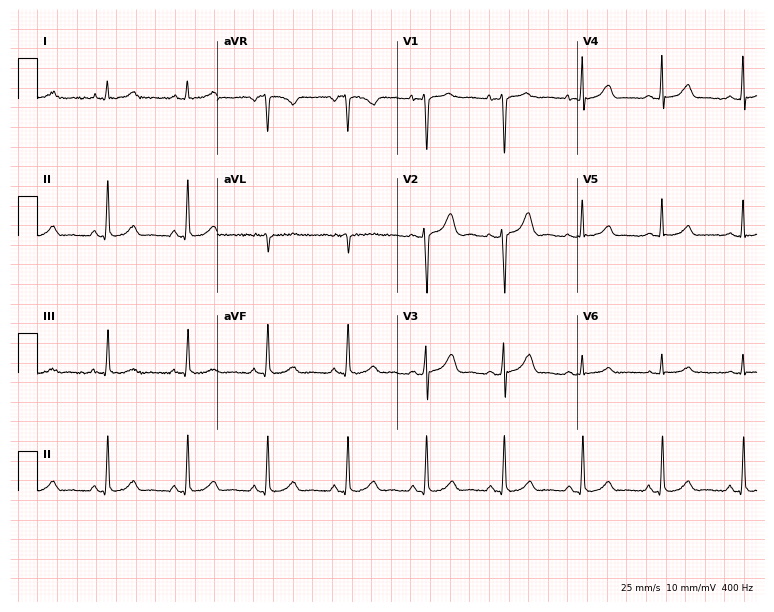
ECG — a 36-year-old female. Screened for six findings — first-degree AV block, right bundle branch block (RBBB), left bundle branch block (LBBB), sinus bradycardia, atrial fibrillation (AF), sinus tachycardia — none is recorded. Other findings, if any, are not listed.